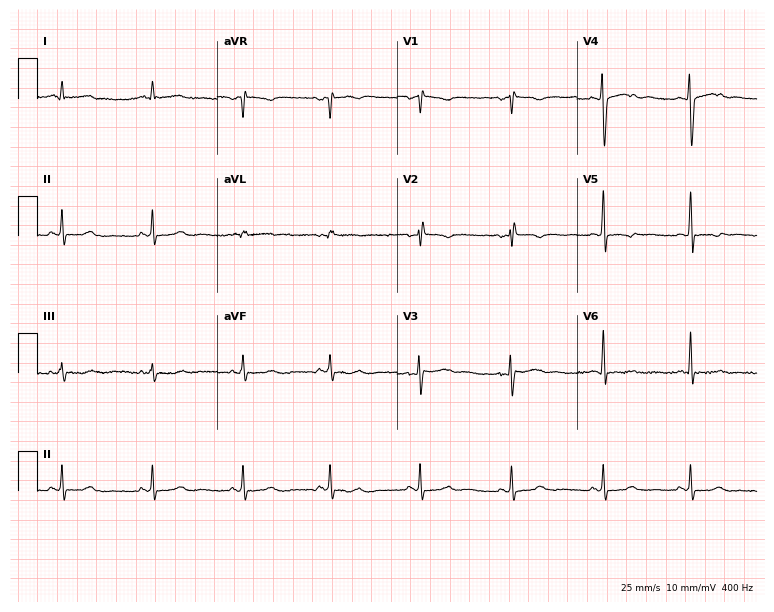
Standard 12-lead ECG recorded from a 31-year-old female (7.3-second recording at 400 Hz). None of these six findings is recorded: first-degree AV block, right bundle branch block (RBBB), left bundle branch block (LBBB), sinus bradycardia, atrial fibrillation (AF), sinus tachycardia.